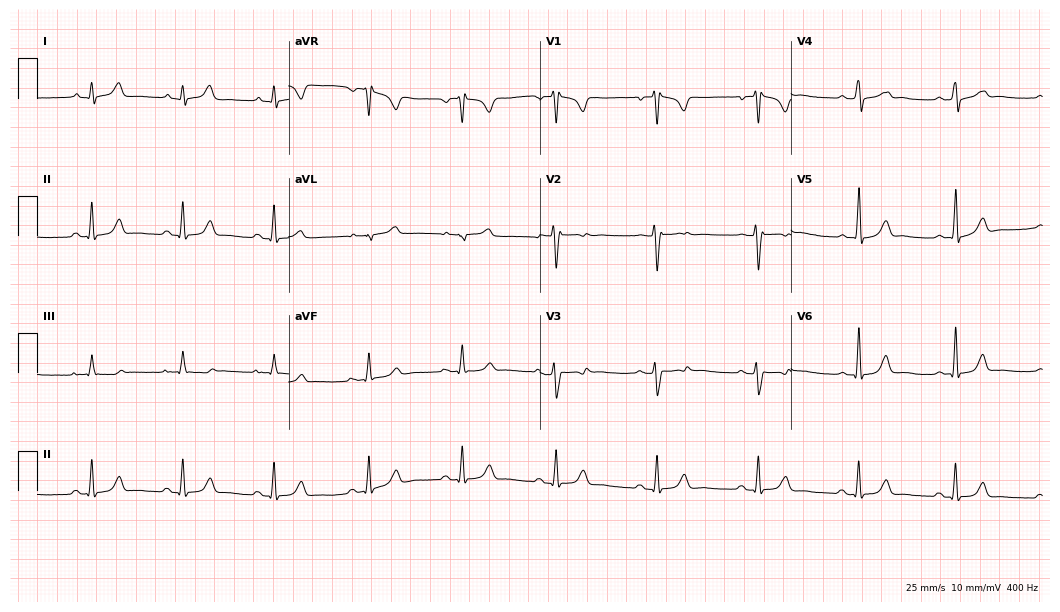
12-lead ECG from a female patient, 24 years old. No first-degree AV block, right bundle branch block (RBBB), left bundle branch block (LBBB), sinus bradycardia, atrial fibrillation (AF) or sinus tachycardia recorded for this tracing. Findings outside these six are not listed.